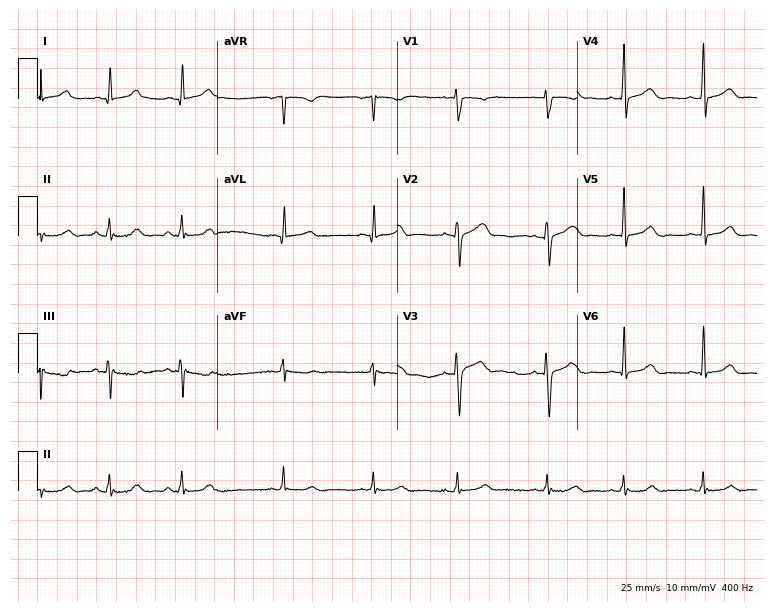
12-lead ECG from a female, 27 years old. Screened for six findings — first-degree AV block, right bundle branch block, left bundle branch block, sinus bradycardia, atrial fibrillation, sinus tachycardia — none is recorded.